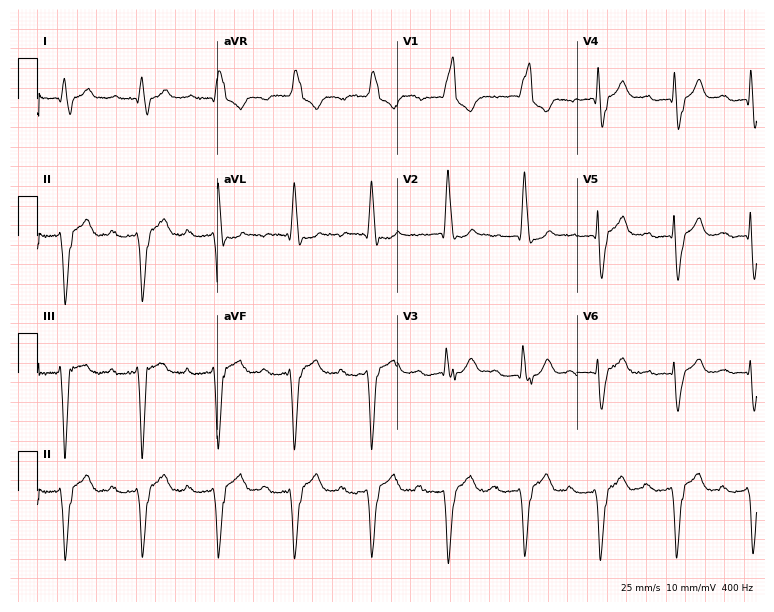
Electrocardiogram, a man, 82 years old. Interpretation includes first-degree AV block, right bundle branch block (RBBB).